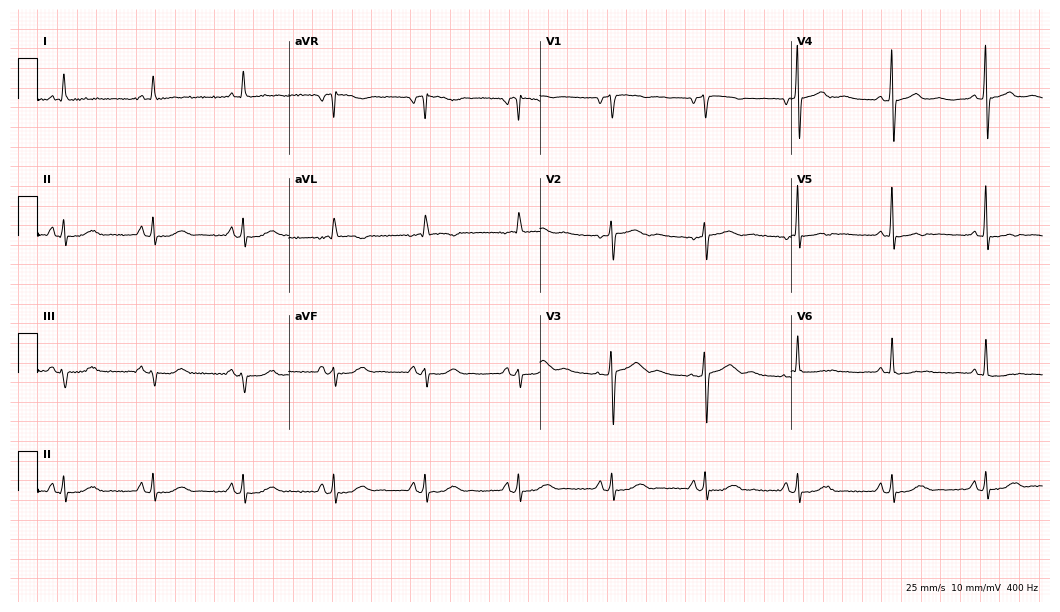
ECG (10.2-second recording at 400 Hz) — a 76-year-old female. Screened for six findings — first-degree AV block, right bundle branch block, left bundle branch block, sinus bradycardia, atrial fibrillation, sinus tachycardia — none is recorded. Only these six findings were labelled.